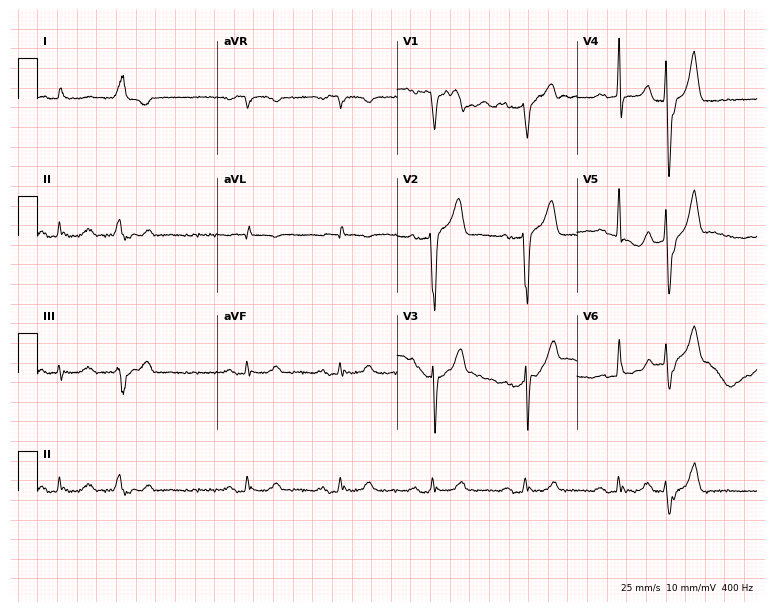
12-lead ECG from a male patient, 66 years old. Screened for six findings — first-degree AV block, right bundle branch block, left bundle branch block, sinus bradycardia, atrial fibrillation, sinus tachycardia — none is recorded.